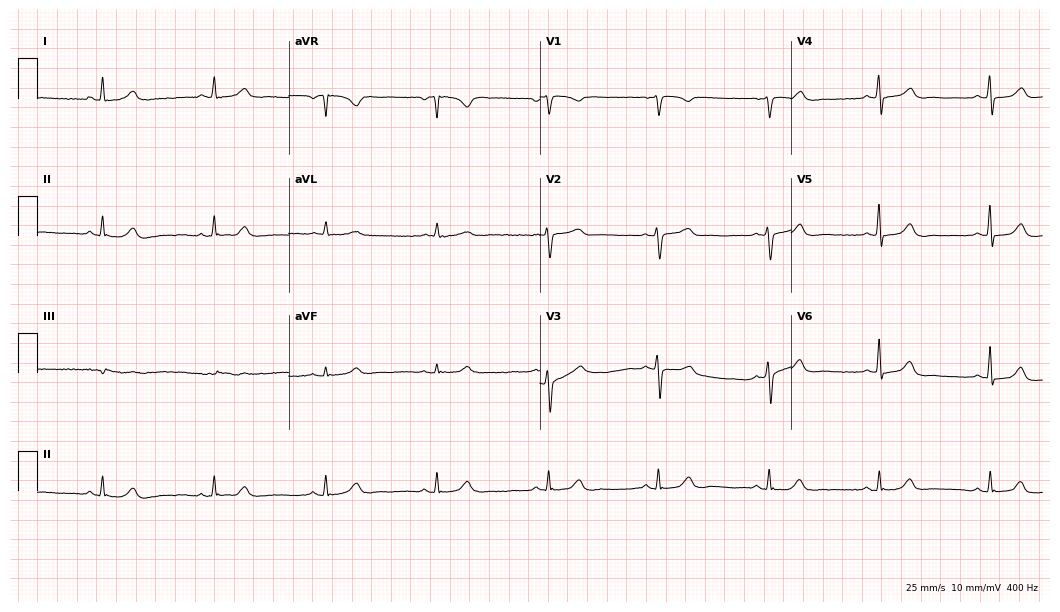
Standard 12-lead ECG recorded from a 56-year-old female. Read as a normal ECG.